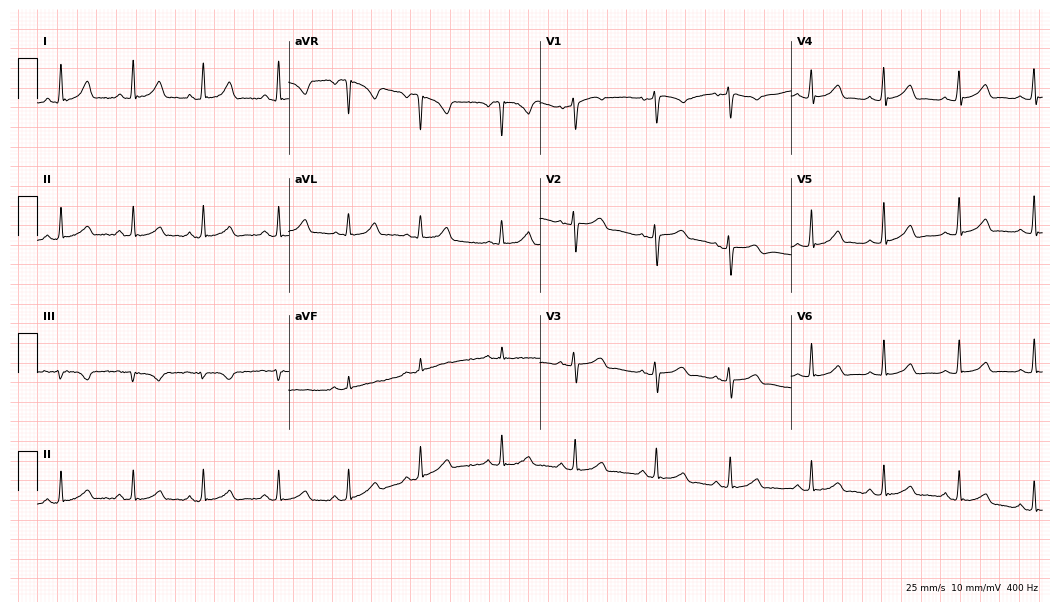
Standard 12-lead ECG recorded from a 19-year-old female patient. Read as a normal ECG.